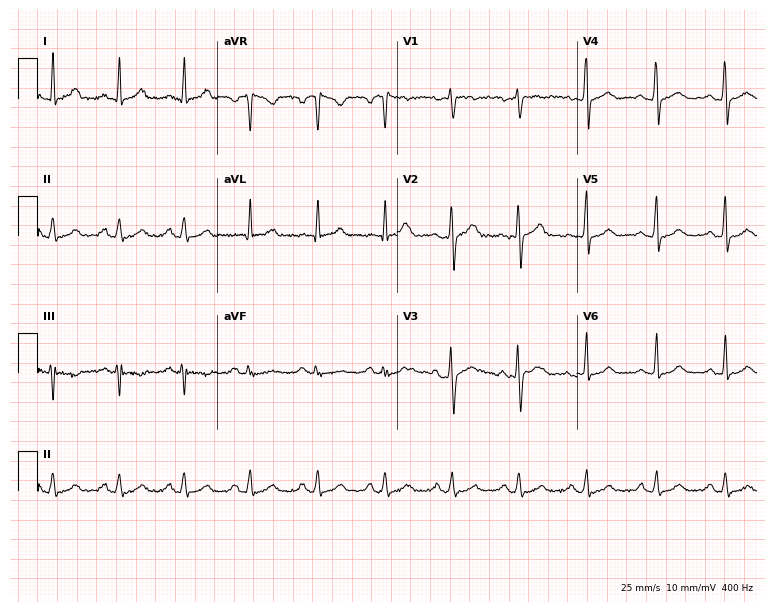
Electrocardiogram (7.3-second recording at 400 Hz), a female patient, 26 years old. Of the six screened findings (first-degree AV block, right bundle branch block (RBBB), left bundle branch block (LBBB), sinus bradycardia, atrial fibrillation (AF), sinus tachycardia), none is recorded. Only these six findings were labelled.